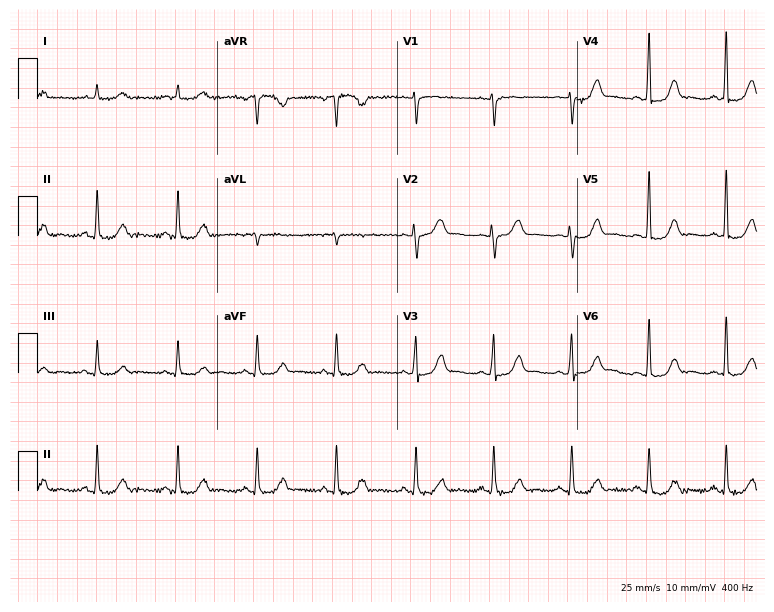
Resting 12-lead electrocardiogram (7.3-second recording at 400 Hz). Patient: a 47-year-old woman. None of these six findings is recorded: first-degree AV block, right bundle branch block, left bundle branch block, sinus bradycardia, atrial fibrillation, sinus tachycardia. Other findings, if any, are not listed.